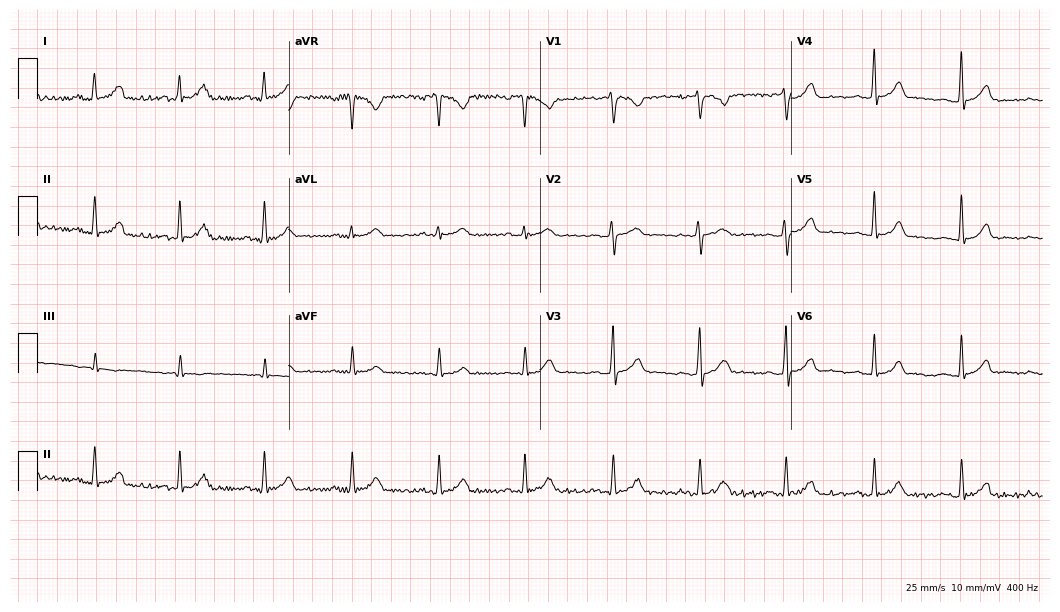
Electrocardiogram (10.2-second recording at 400 Hz), a woman, 34 years old. Overall reading on record: normal ECG.